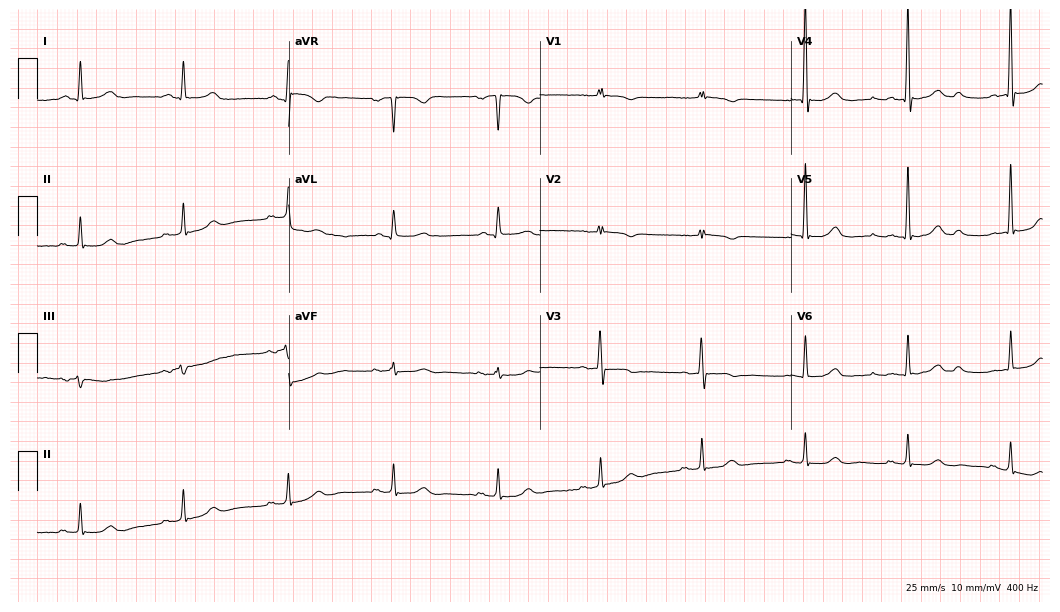
12-lead ECG from a 78-year-old female (10.2-second recording at 400 Hz). No first-degree AV block, right bundle branch block, left bundle branch block, sinus bradycardia, atrial fibrillation or sinus tachycardia recorded for this tracing.